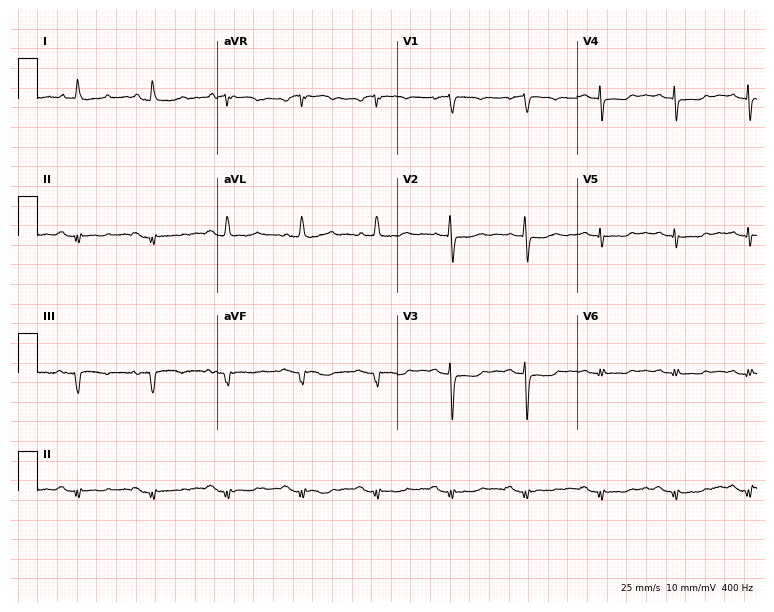
12-lead ECG from a male patient, 84 years old. Screened for six findings — first-degree AV block, right bundle branch block, left bundle branch block, sinus bradycardia, atrial fibrillation, sinus tachycardia — none is recorded.